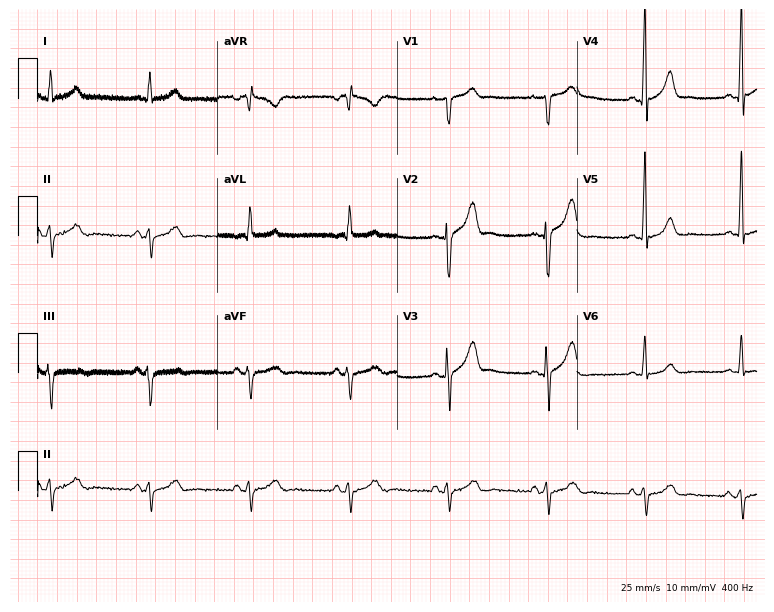
ECG (7.3-second recording at 400 Hz) — a 50-year-old woman. Screened for six findings — first-degree AV block, right bundle branch block, left bundle branch block, sinus bradycardia, atrial fibrillation, sinus tachycardia — none is recorded.